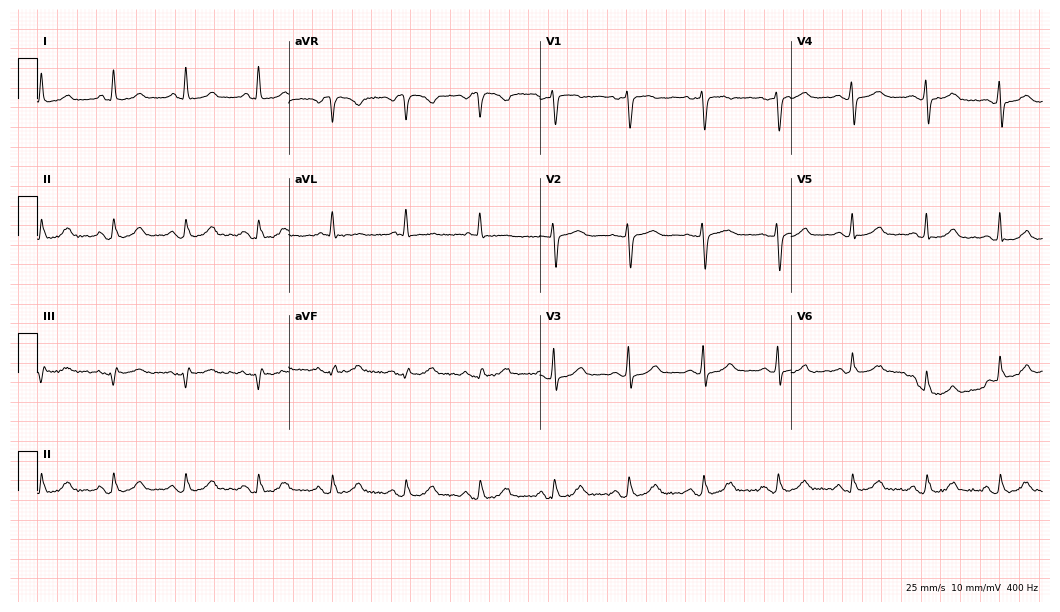
12-lead ECG (10.2-second recording at 400 Hz) from a 69-year-old female. Screened for six findings — first-degree AV block, right bundle branch block, left bundle branch block, sinus bradycardia, atrial fibrillation, sinus tachycardia — none is recorded. Other findings, if any, are not listed.